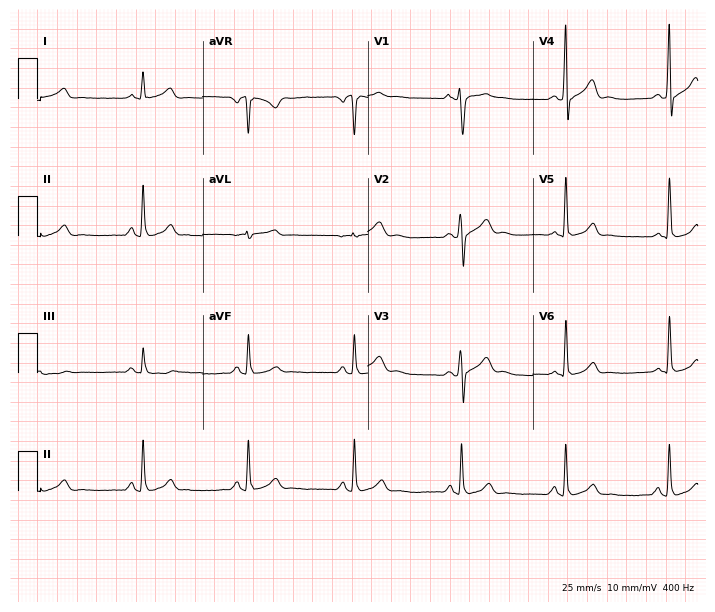
ECG (6.7-second recording at 400 Hz) — a 43-year-old man. Screened for six findings — first-degree AV block, right bundle branch block (RBBB), left bundle branch block (LBBB), sinus bradycardia, atrial fibrillation (AF), sinus tachycardia — none is recorded. Only these six findings were labelled.